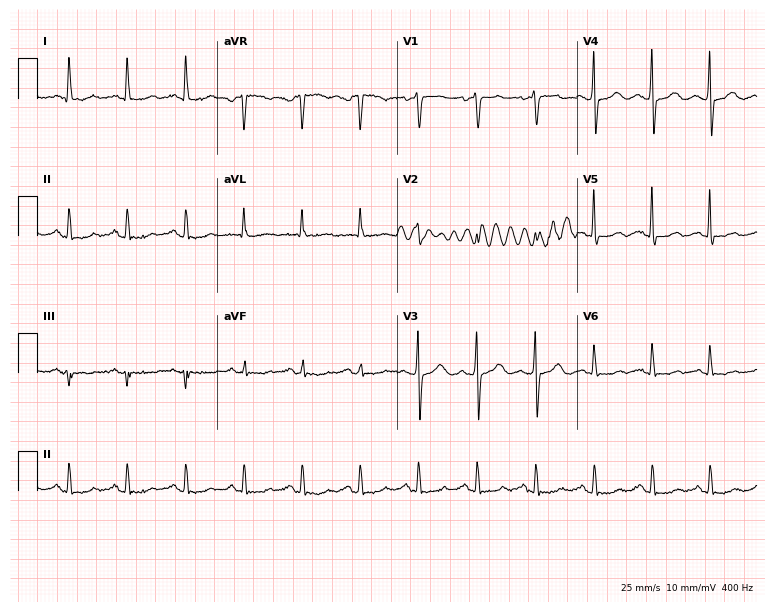
Standard 12-lead ECG recorded from a female, 54 years old. None of these six findings is recorded: first-degree AV block, right bundle branch block (RBBB), left bundle branch block (LBBB), sinus bradycardia, atrial fibrillation (AF), sinus tachycardia.